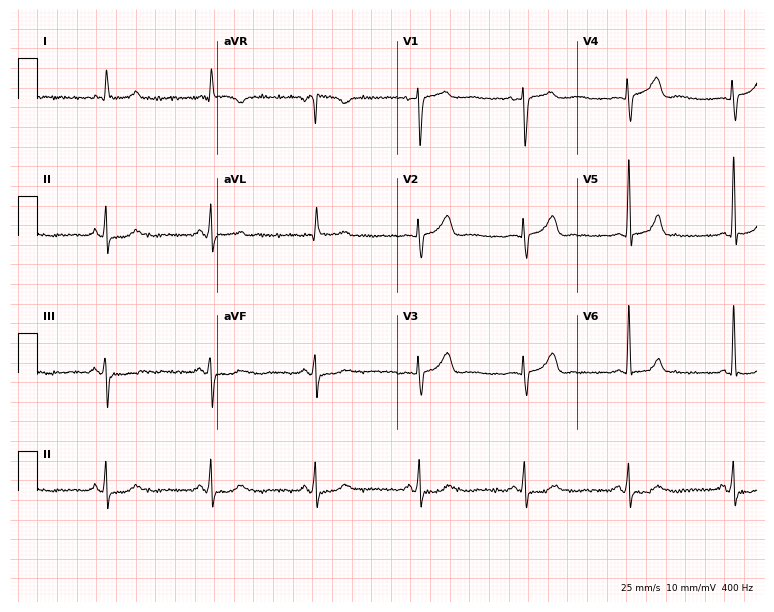
12-lead ECG from a 75-year-old woman (7.3-second recording at 400 Hz). No first-degree AV block, right bundle branch block (RBBB), left bundle branch block (LBBB), sinus bradycardia, atrial fibrillation (AF) or sinus tachycardia recorded for this tracing. Findings outside these six are not listed.